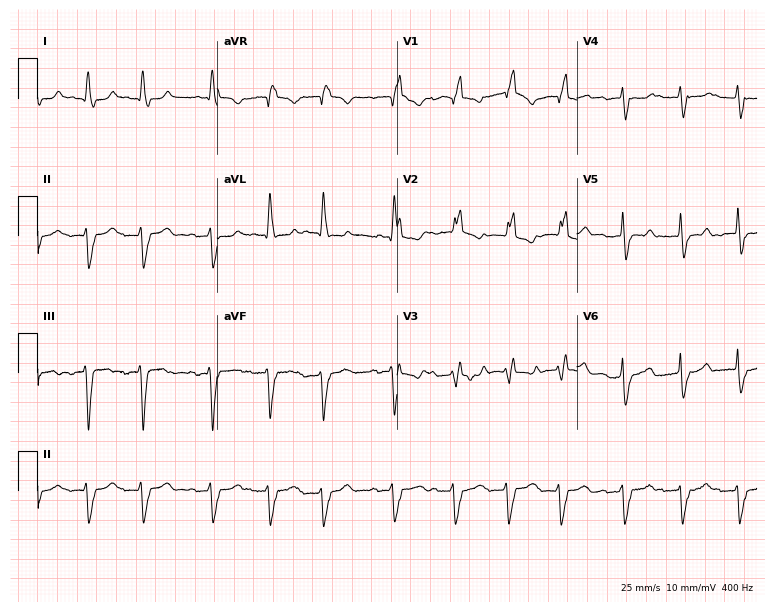
Standard 12-lead ECG recorded from a female patient, 69 years old (7.3-second recording at 400 Hz). The tracing shows right bundle branch block (RBBB), atrial fibrillation (AF).